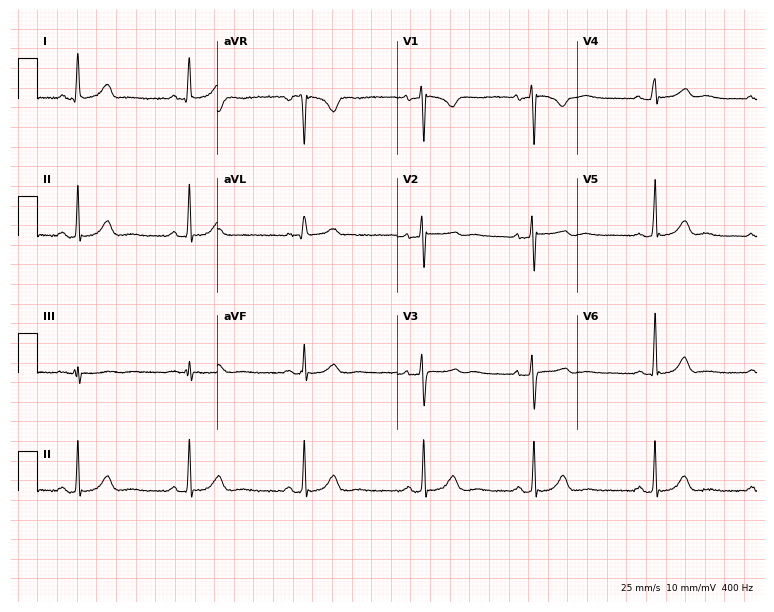
Resting 12-lead electrocardiogram. Patient: a woman, 41 years old. Read as a normal ECG.